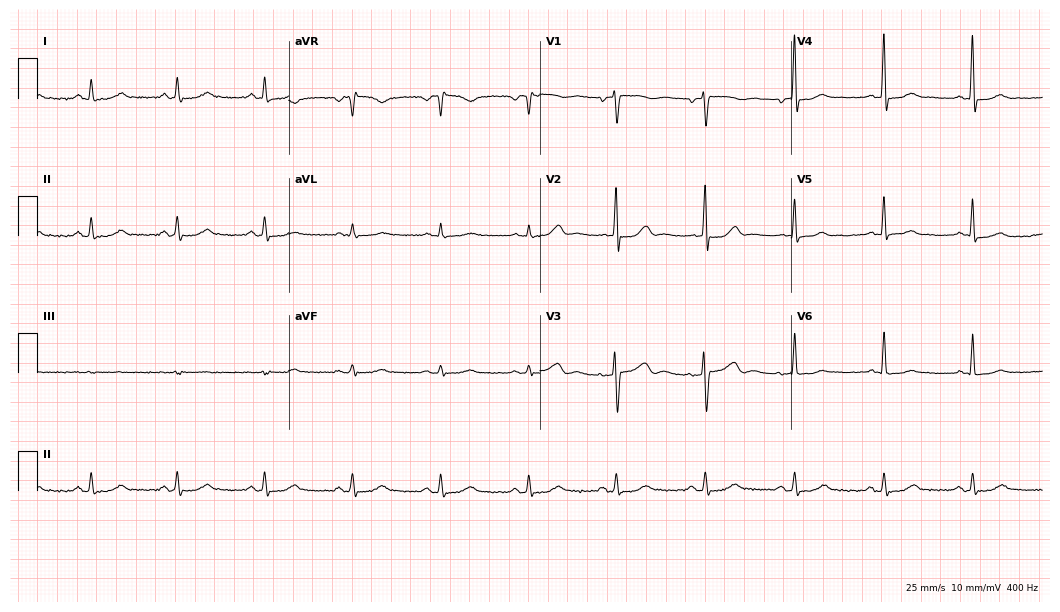
12-lead ECG from a 64-year-old female. Recorded interpretation: within normal limits.